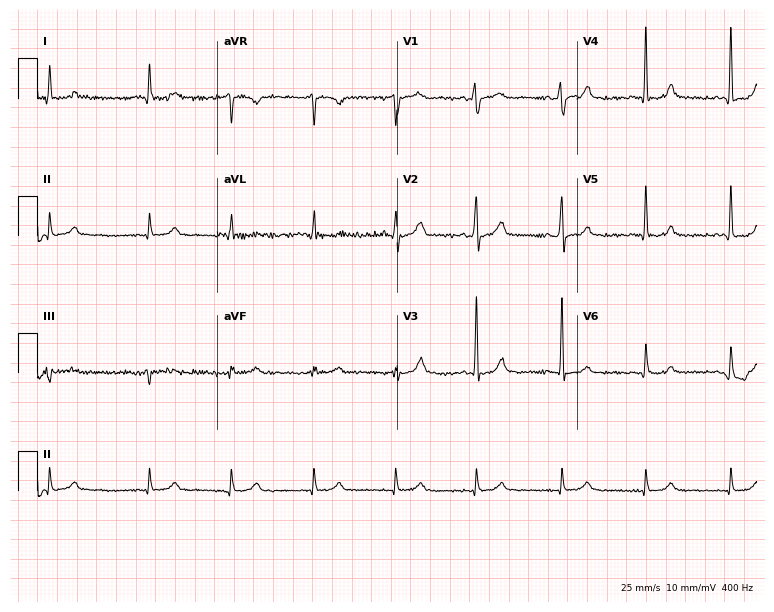
12-lead ECG from a female patient, 81 years old. Recorded interpretation: within normal limits.